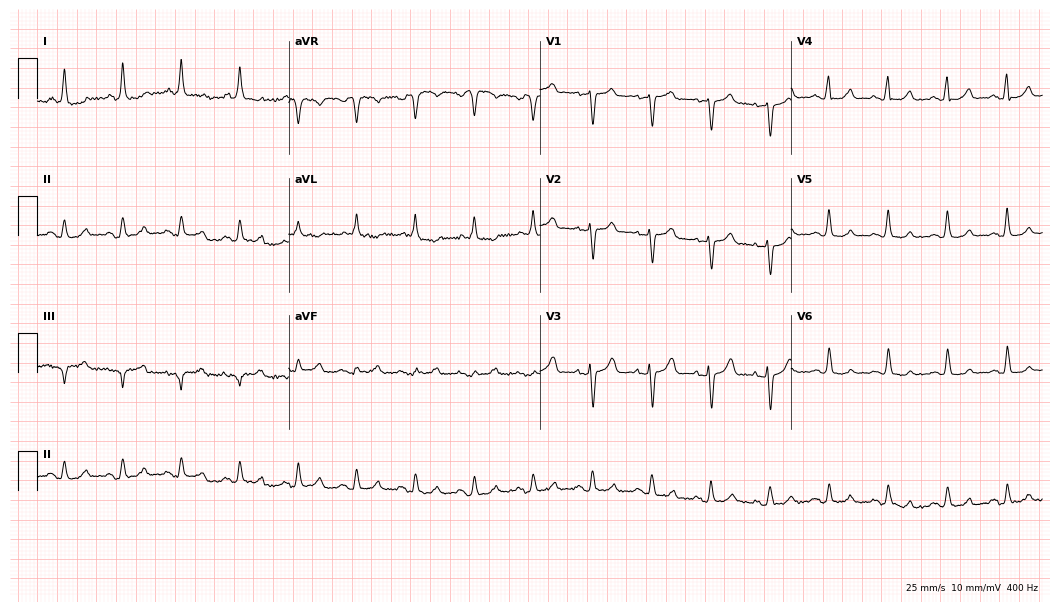
Electrocardiogram (10.2-second recording at 400 Hz), a woman, 73 years old. Of the six screened findings (first-degree AV block, right bundle branch block, left bundle branch block, sinus bradycardia, atrial fibrillation, sinus tachycardia), none is recorded. Other findings, if any, are not listed.